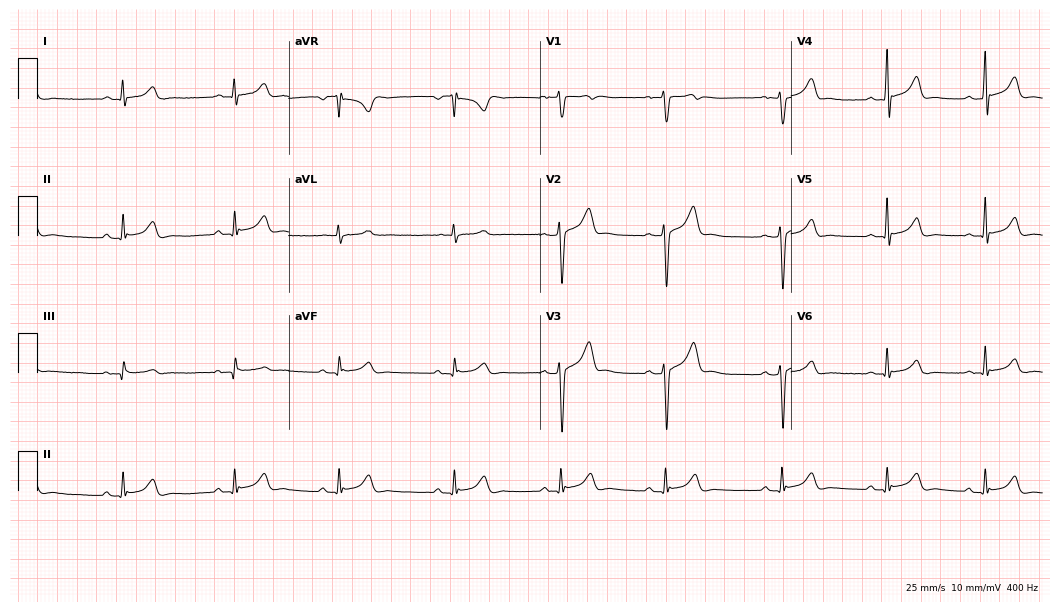
12-lead ECG from a 20-year-old male. Labelled as a normal ECG.